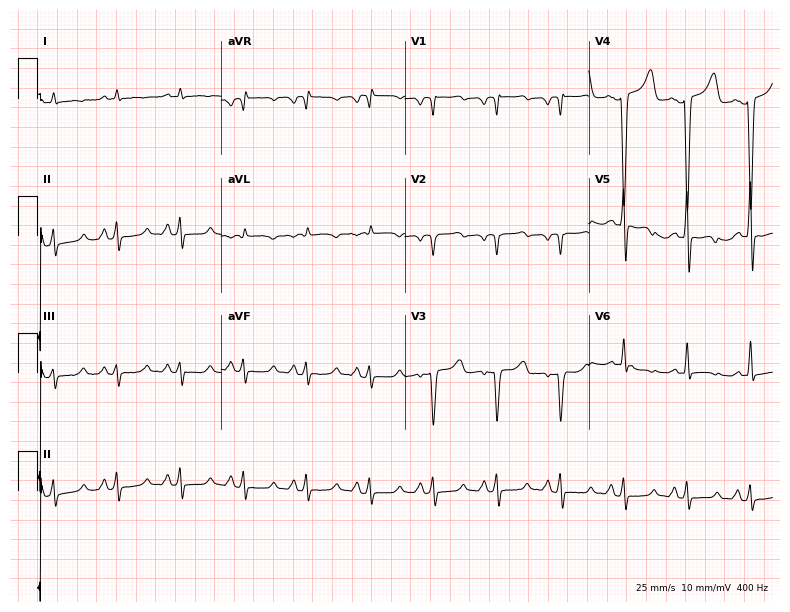
12-lead ECG from a 40-year-old male patient. Screened for six findings — first-degree AV block, right bundle branch block, left bundle branch block, sinus bradycardia, atrial fibrillation, sinus tachycardia — none is recorded.